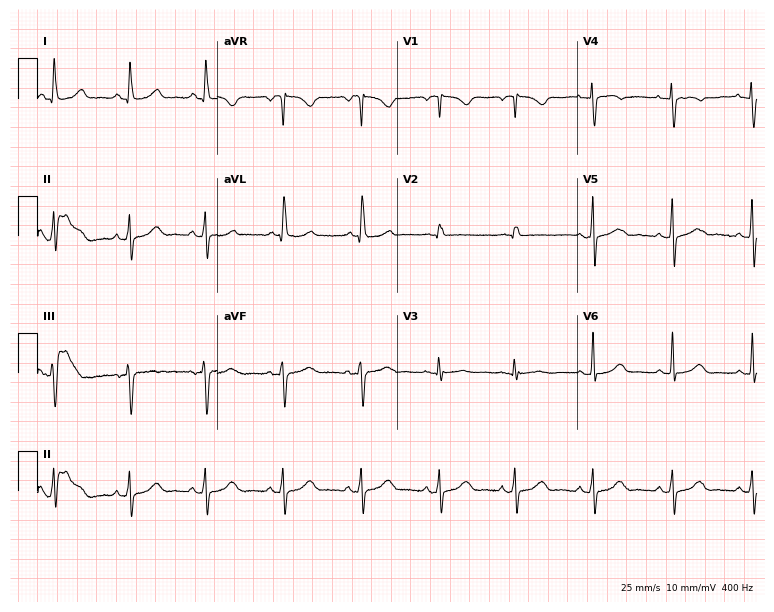
Electrocardiogram (7.3-second recording at 400 Hz), a female, 65 years old. Overall reading on record: normal ECG.